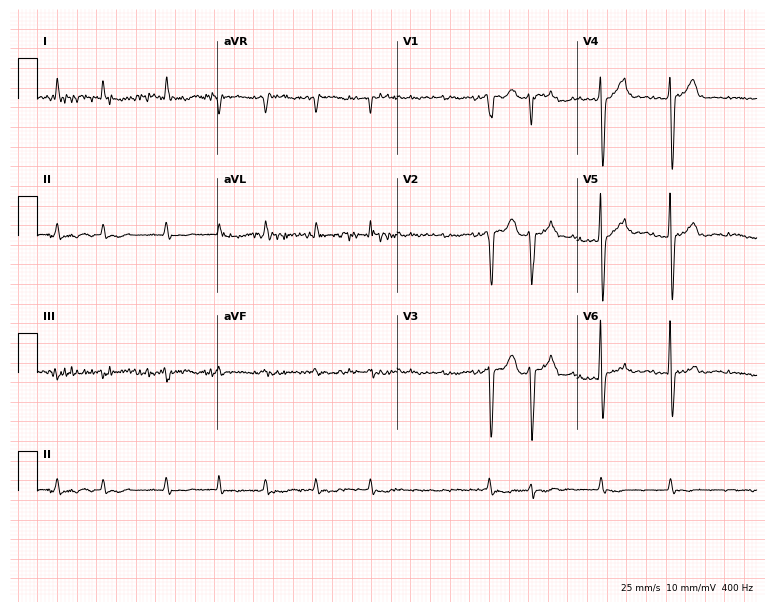
Electrocardiogram, a male, 82 years old. Interpretation includes atrial fibrillation.